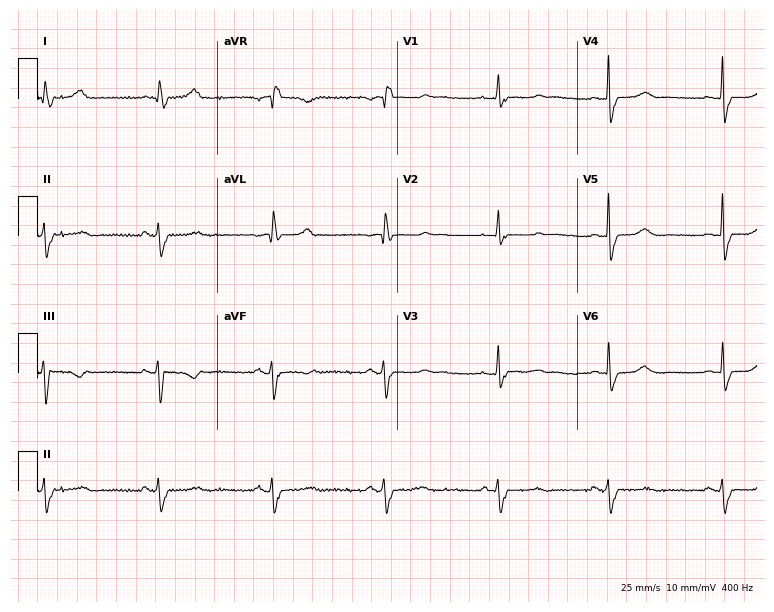
Resting 12-lead electrocardiogram. Patient: a 52-year-old woman. The tracing shows right bundle branch block.